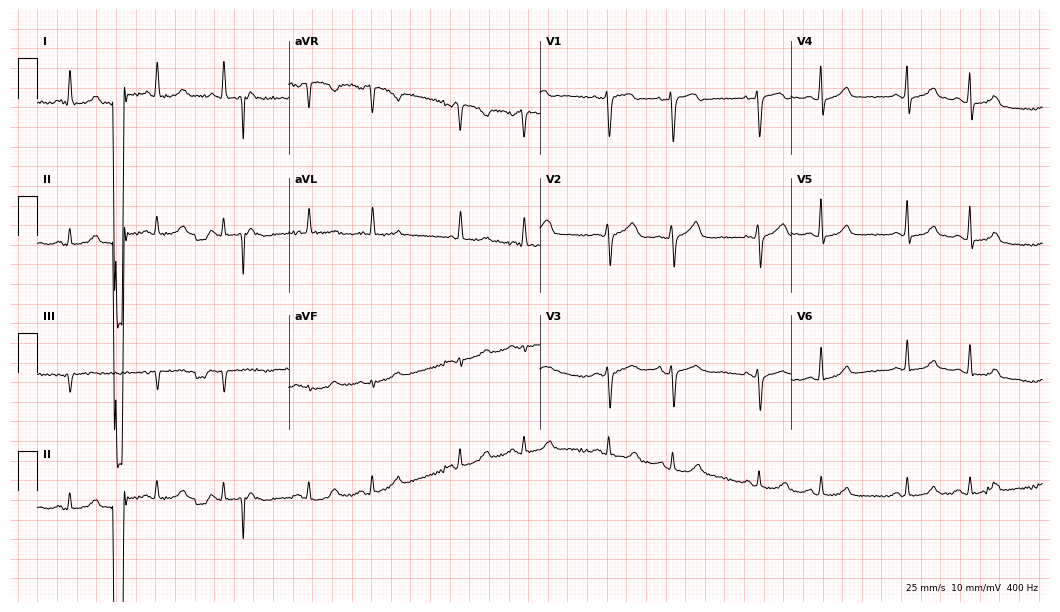
Electrocardiogram (10.2-second recording at 400 Hz), a woman, 70 years old. Overall reading on record: normal ECG.